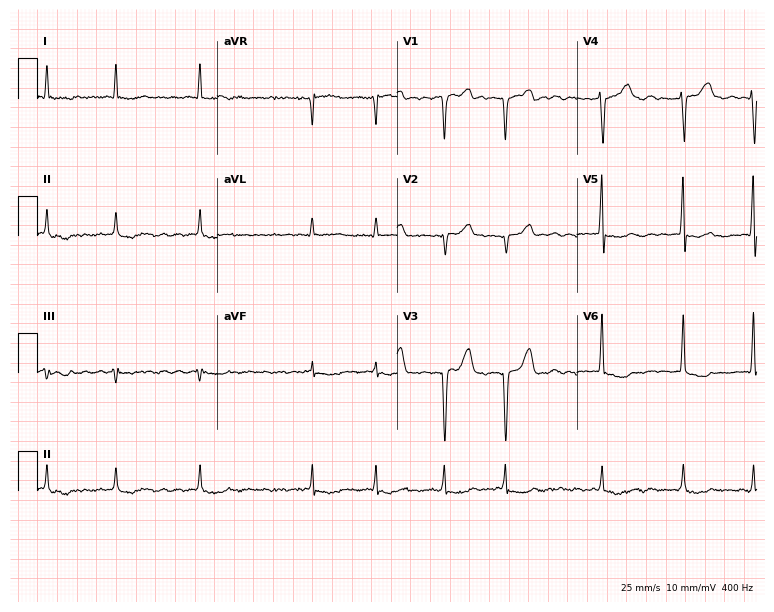
12-lead ECG from a 54-year-old male. Shows atrial fibrillation (AF).